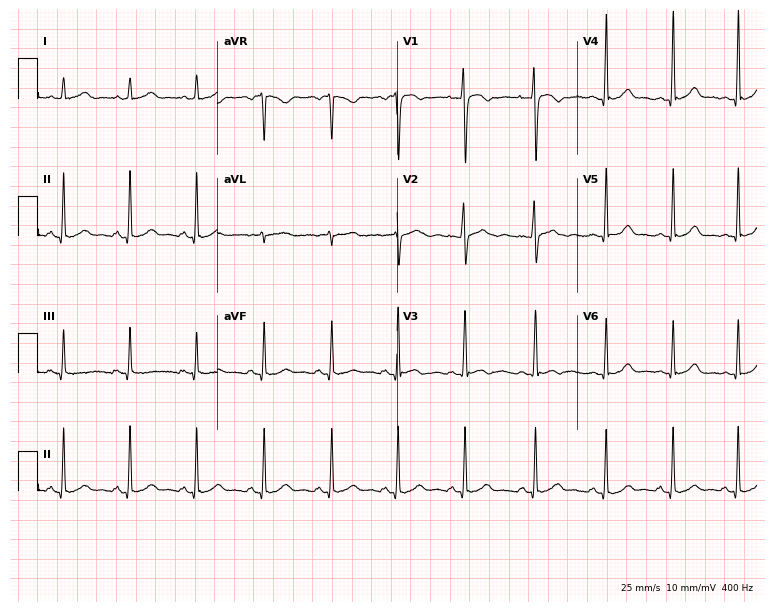
12-lead ECG from a 27-year-old woman (7.3-second recording at 400 Hz). Recorded interpretation: within normal limits.